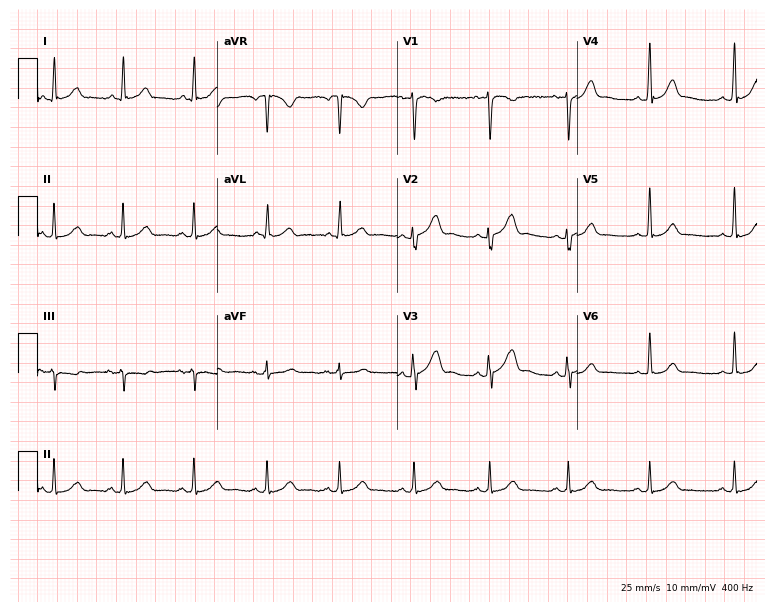
12-lead ECG (7.3-second recording at 400 Hz) from a 41-year-old female patient. Screened for six findings — first-degree AV block, right bundle branch block, left bundle branch block, sinus bradycardia, atrial fibrillation, sinus tachycardia — none is recorded.